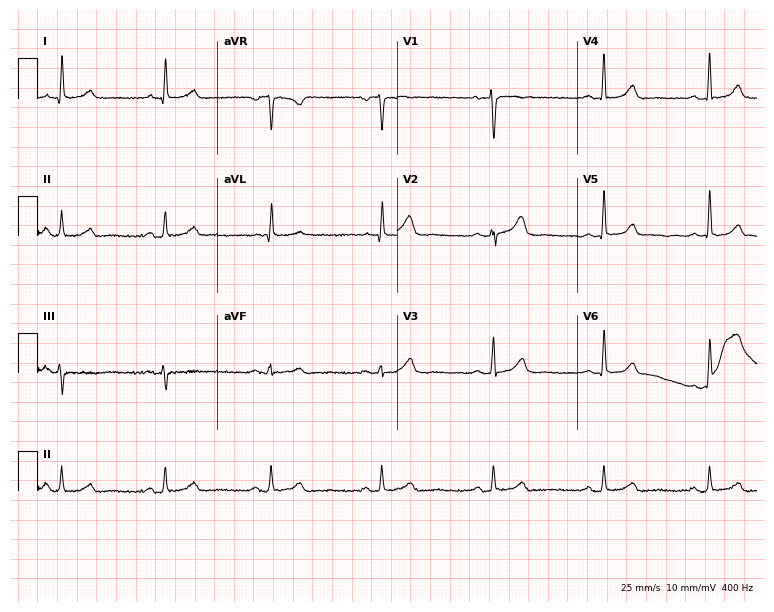
Electrocardiogram, a woman, 63 years old. Overall reading on record: normal ECG.